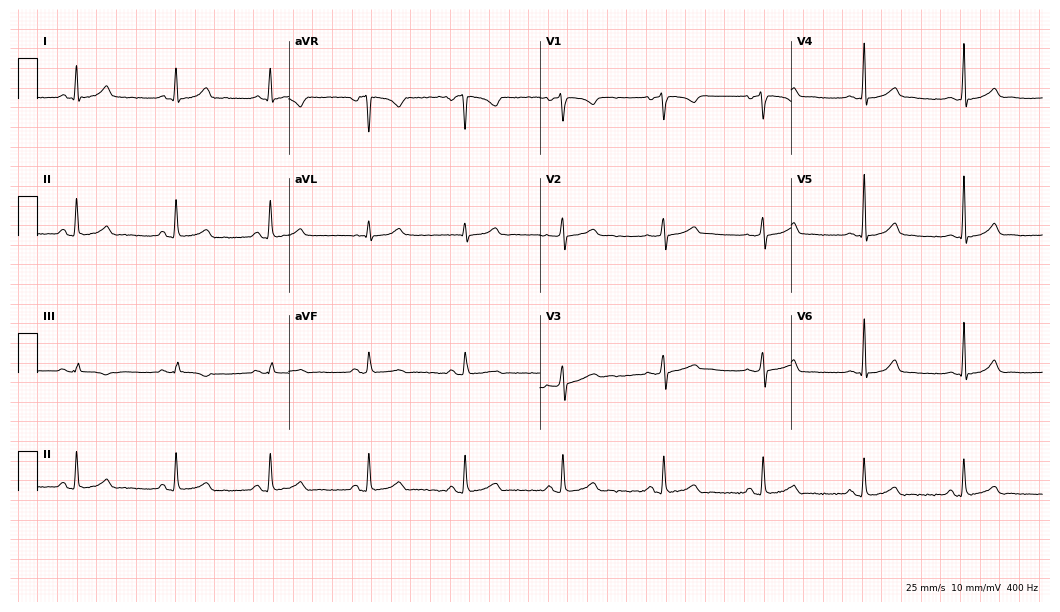
ECG (10.2-second recording at 400 Hz) — a female patient, 27 years old. Labelled as a normal ECG.